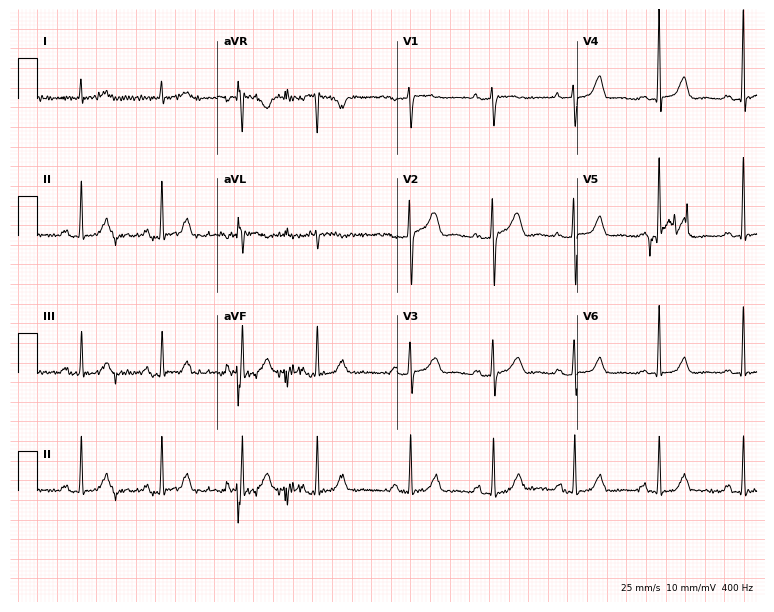
12-lead ECG (7.3-second recording at 400 Hz) from a female patient, 72 years old. Labelled as a normal ECG.